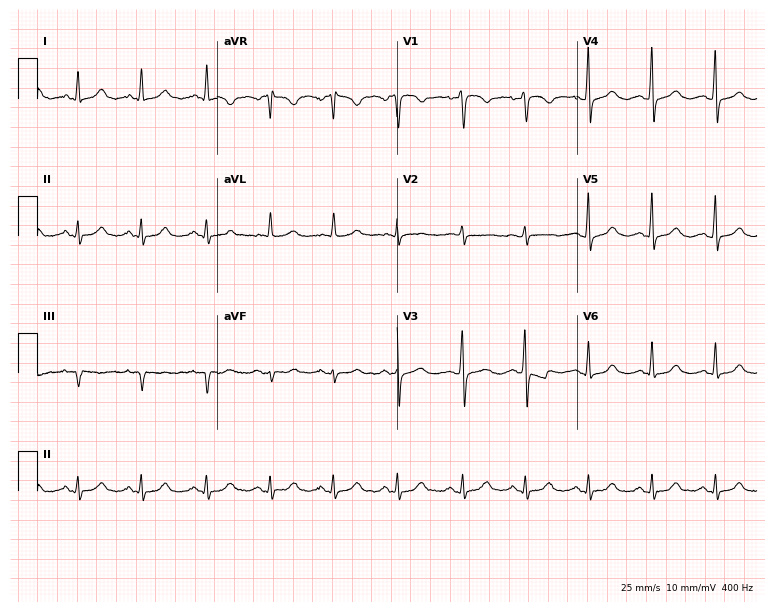
Resting 12-lead electrocardiogram (7.3-second recording at 400 Hz). Patient: a 49-year-old female. Read as a normal ECG.